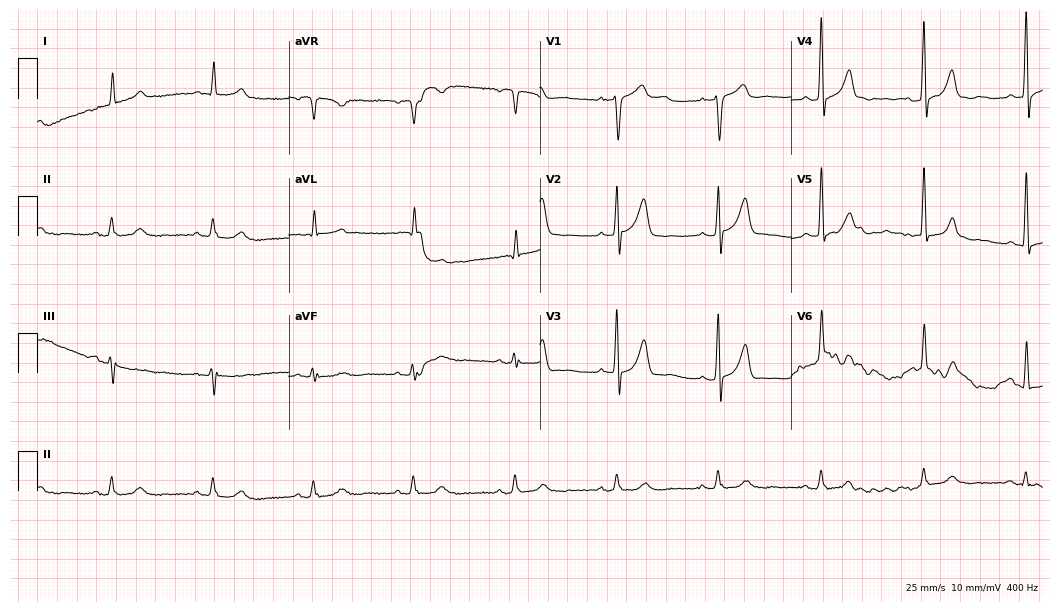
Standard 12-lead ECG recorded from a man, 74 years old (10.2-second recording at 400 Hz). Read as a normal ECG.